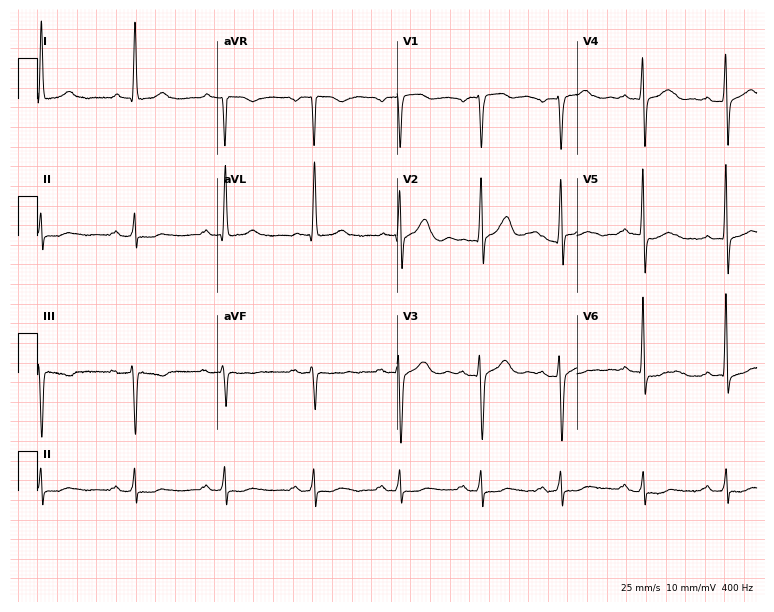
ECG — a male patient, 68 years old. Screened for six findings — first-degree AV block, right bundle branch block, left bundle branch block, sinus bradycardia, atrial fibrillation, sinus tachycardia — none is recorded. Findings outside these six are not listed.